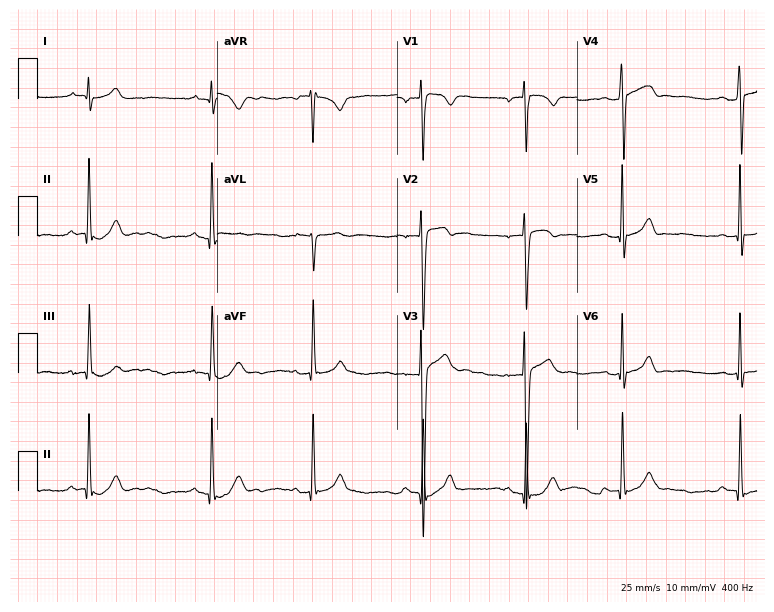
Resting 12-lead electrocardiogram. Patient: a male, 18 years old. Read as a normal ECG.